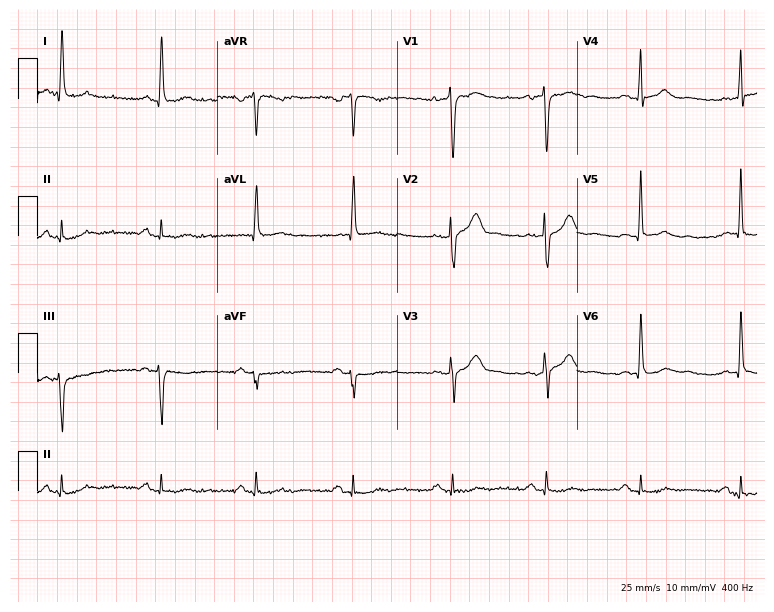
12-lead ECG from a man, 52 years old (7.3-second recording at 400 Hz). Recorded interpretation: within normal limits.